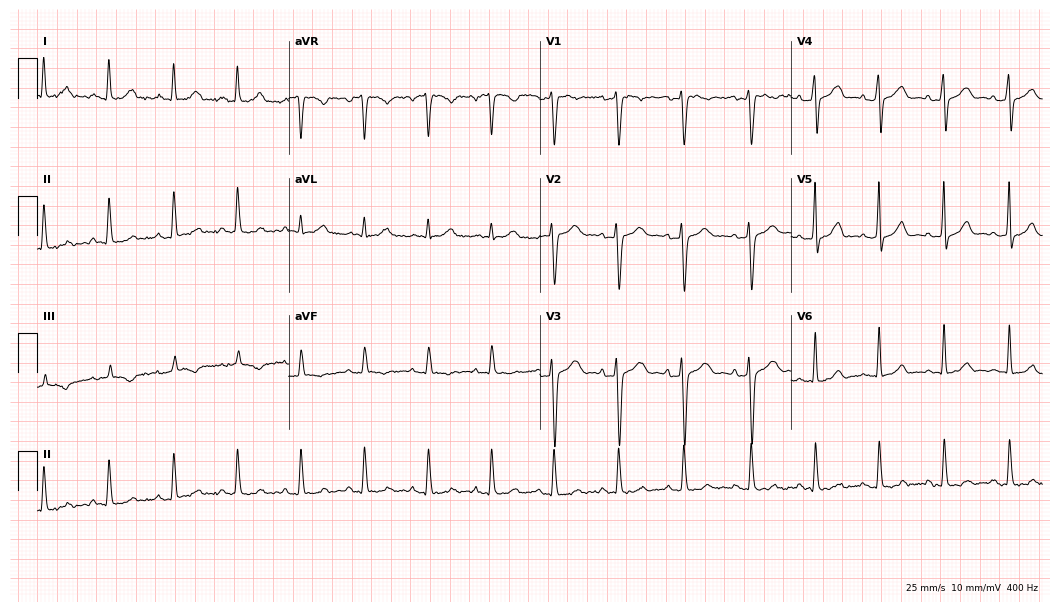
12-lead ECG from a female patient, 31 years old. Recorded interpretation: within normal limits.